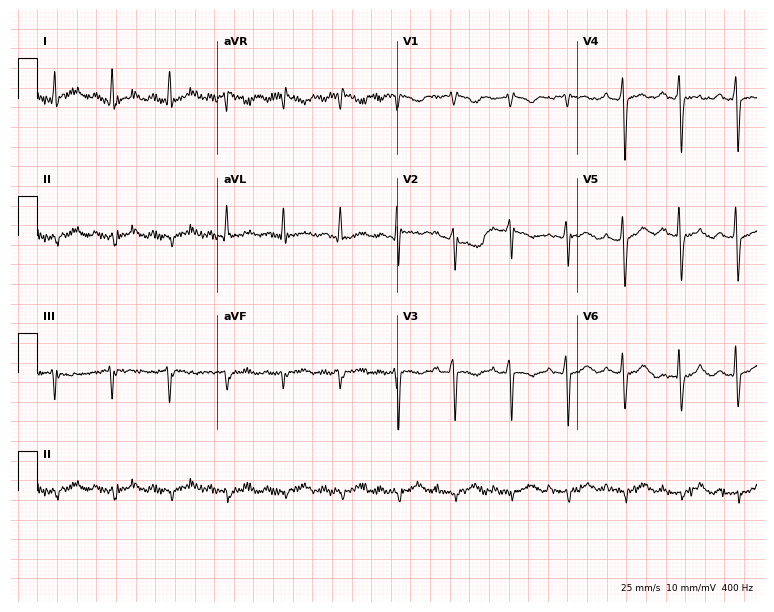
Standard 12-lead ECG recorded from a female, 75 years old. The tracing shows sinus tachycardia (a sinus rate of 100 beats per minute or more).